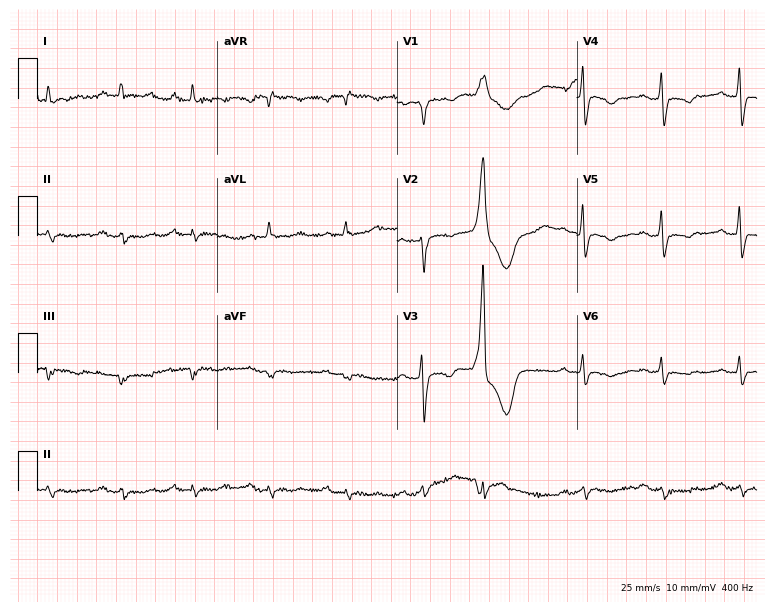
Standard 12-lead ECG recorded from a woman, 62 years old. None of these six findings is recorded: first-degree AV block, right bundle branch block (RBBB), left bundle branch block (LBBB), sinus bradycardia, atrial fibrillation (AF), sinus tachycardia.